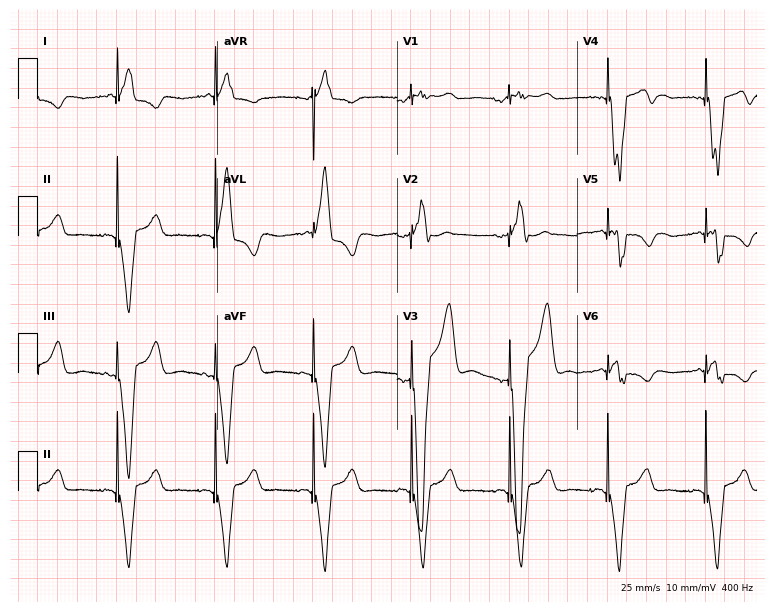
Resting 12-lead electrocardiogram. Patient: a 66-year-old male. None of these six findings is recorded: first-degree AV block, right bundle branch block, left bundle branch block, sinus bradycardia, atrial fibrillation, sinus tachycardia. Only these six findings were labelled.